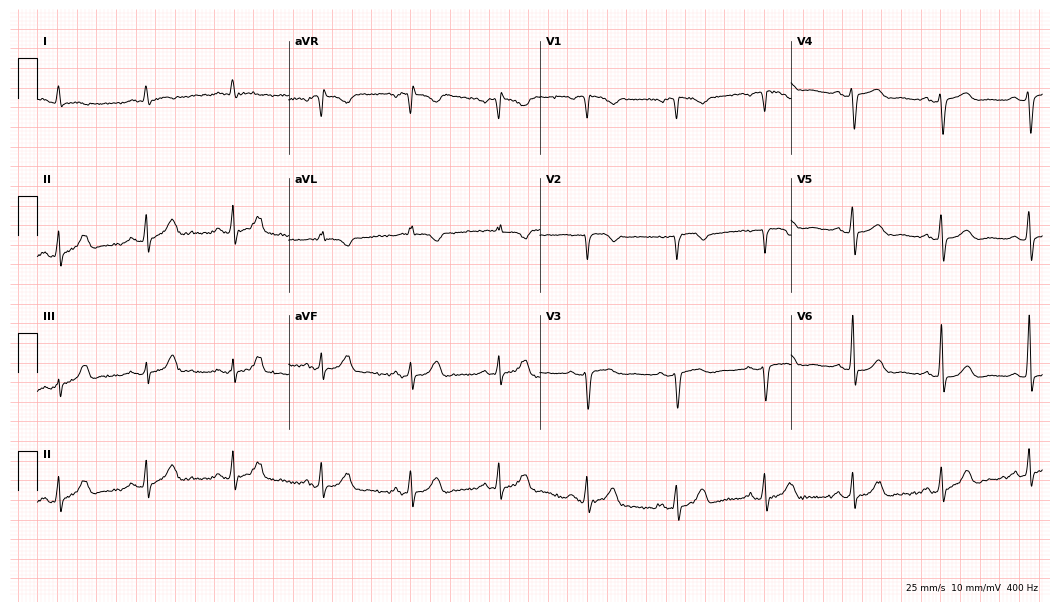
12-lead ECG from a 62-year-old female. Screened for six findings — first-degree AV block, right bundle branch block, left bundle branch block, sinus bradycardia, atrial fibrillation, sinus tachycardia — none is recorded. Findings outside these six are not listed.